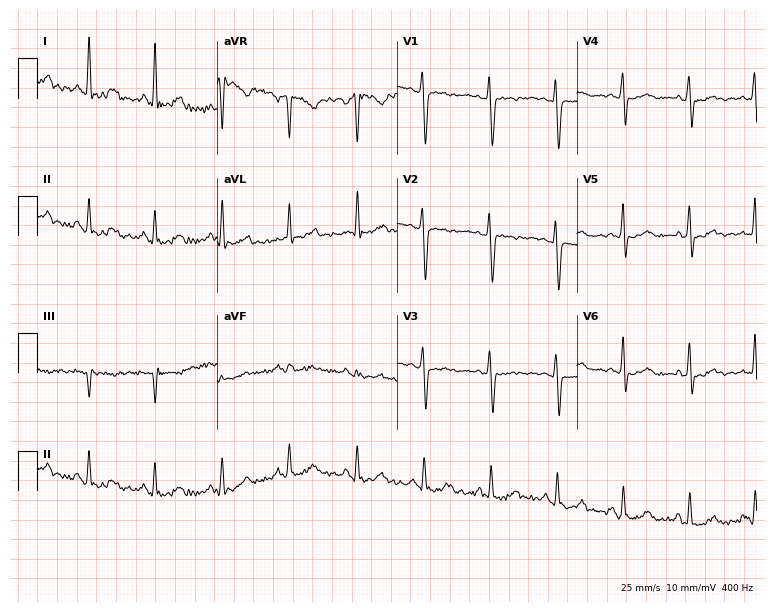
12-lead ECG from a female, 47 years old. No first-degree AV block, right bundle branch block, left bundle branch block, sinus bradycardia, atrial fibrillation or sinus tachycardia recorded for this tracing.